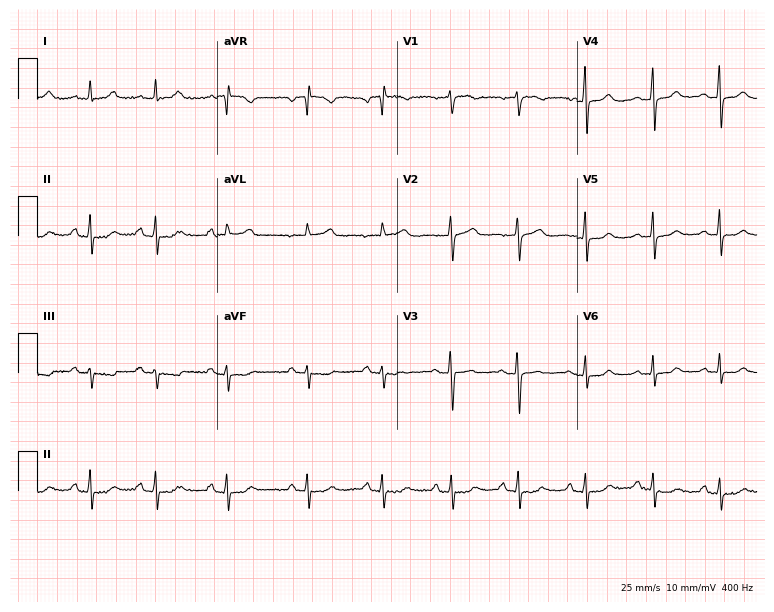
Electrocardiogram (7.3-second recording at 400 Hz), a female, 52 years old. Overall reading on record: normal ECG.